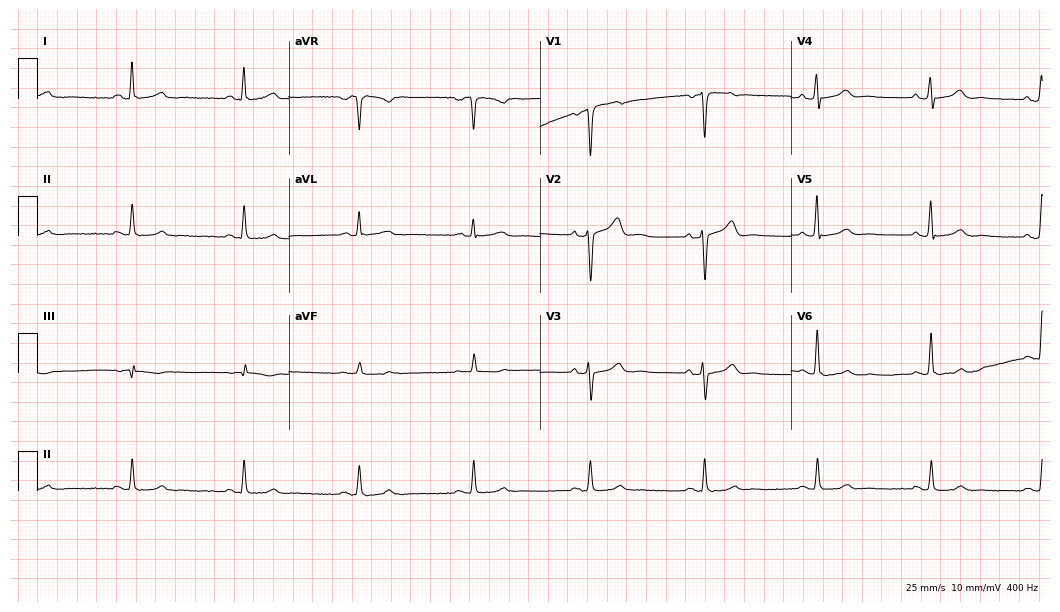
12-lead ECG from a male, 63 years old (10.2-second recording at 400 Hz). Recorded interpretation: within normal limits.